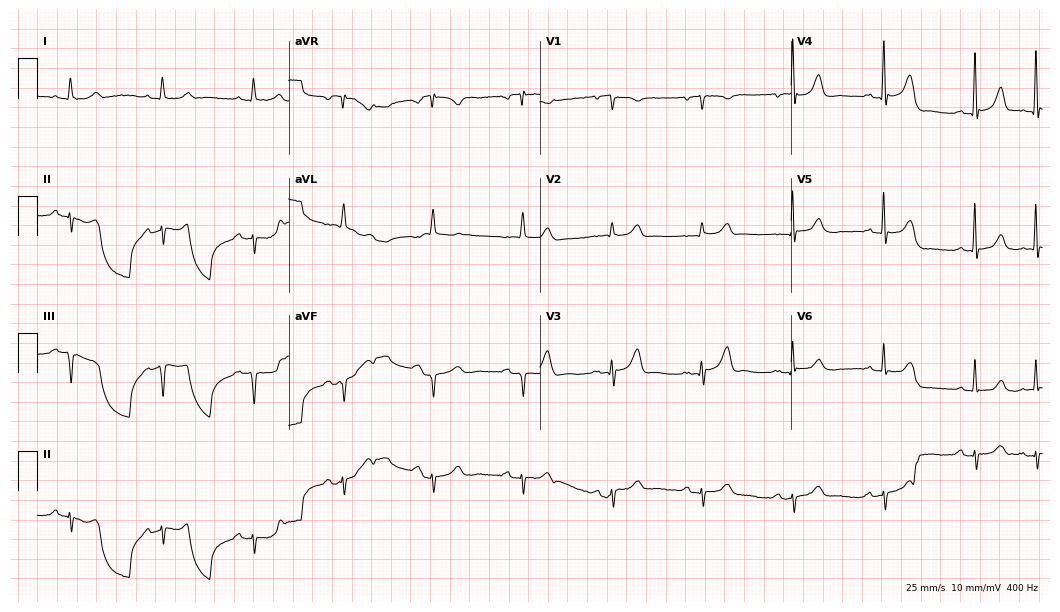
12-lead ECG (10.2-second recording at 400 Hz) from a woman, 84 years old. Screened for six findings — first-degree AV block, right bundle branch block, left bundle branch block, sinus bradycardia, atrial fibrillation, sinus tachycardia — none is recorded.